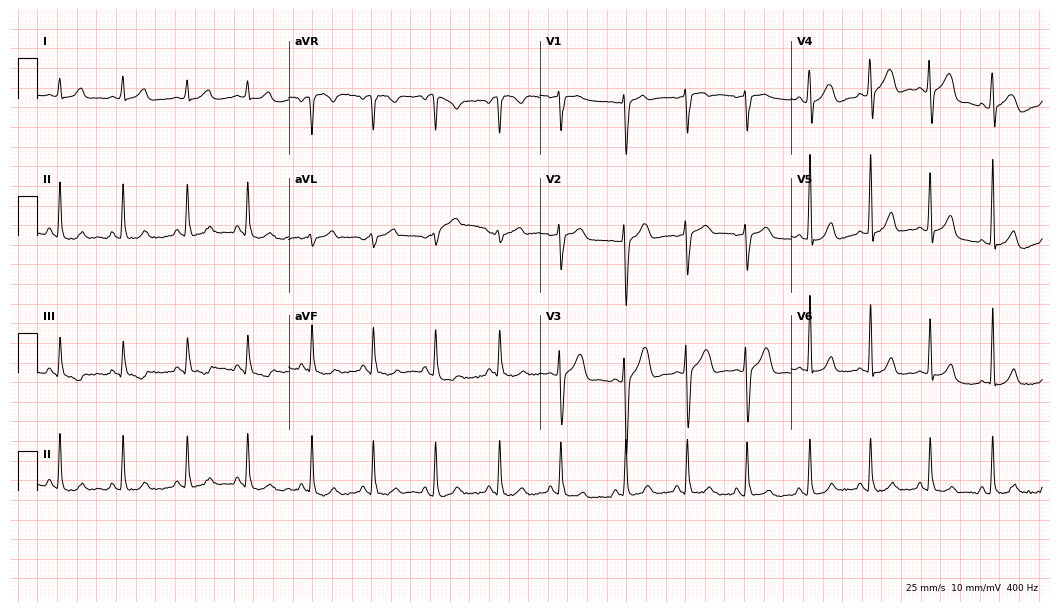
12-lead ECG from a man, 19 years old. Recorded interpretation: within normal limits.